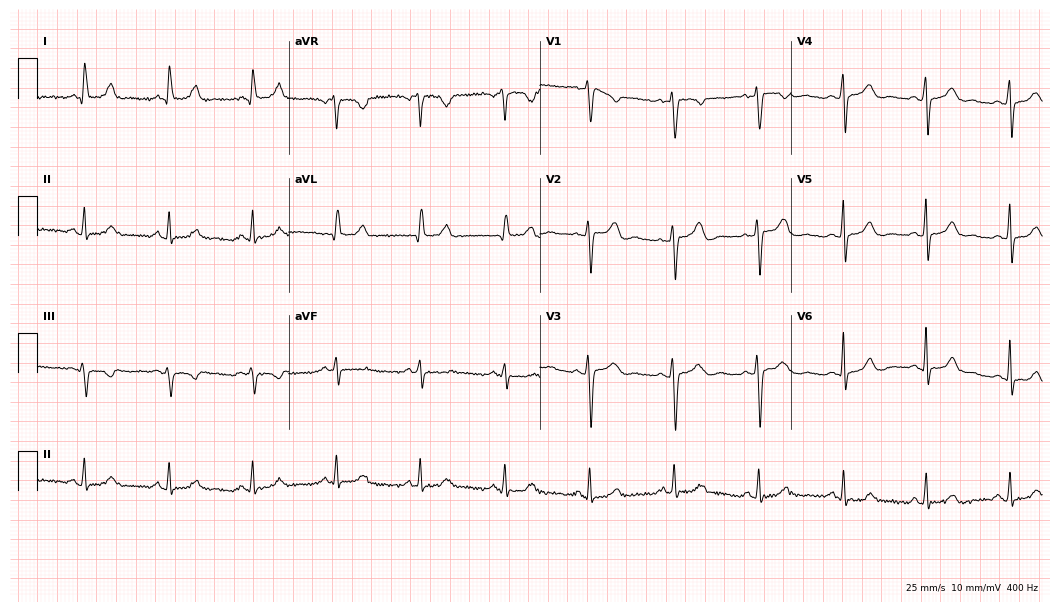
12-lead ECG from a woman, 48 years old (10.2-second recording at 400 Hz). Recorded interpretation: within normal limits.